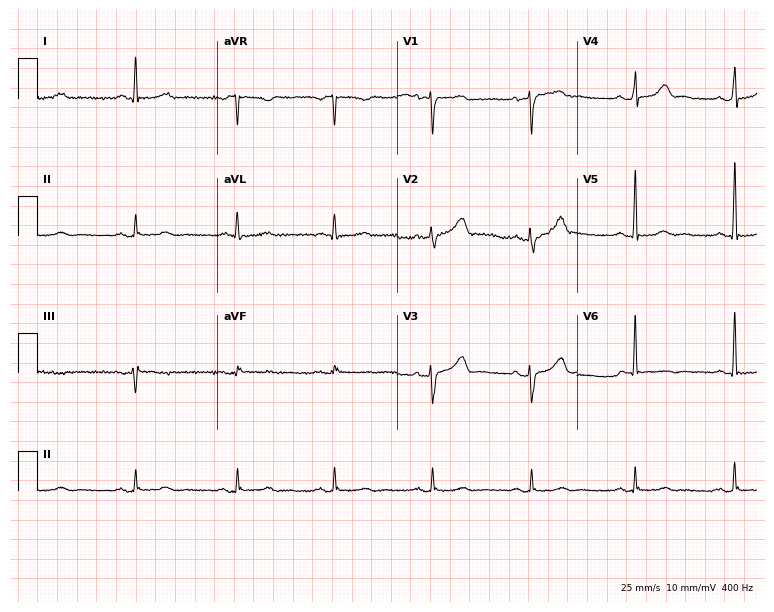
Electrocardiogram, a 51-year-old female patient. Overall reading on record: normal ECG.